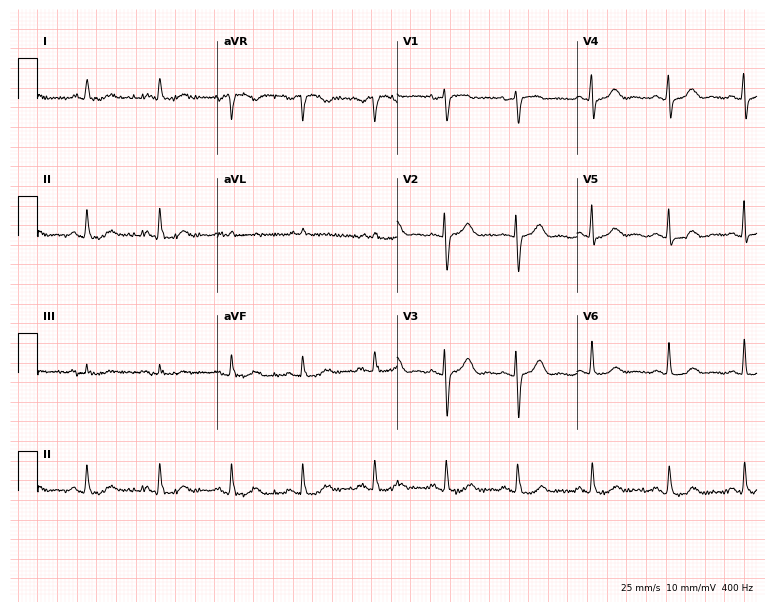
Standard 12-lead ECG recorded from a woman, 85 years old (7.3-second recording at 400 Hz). Read as a normal ECG.